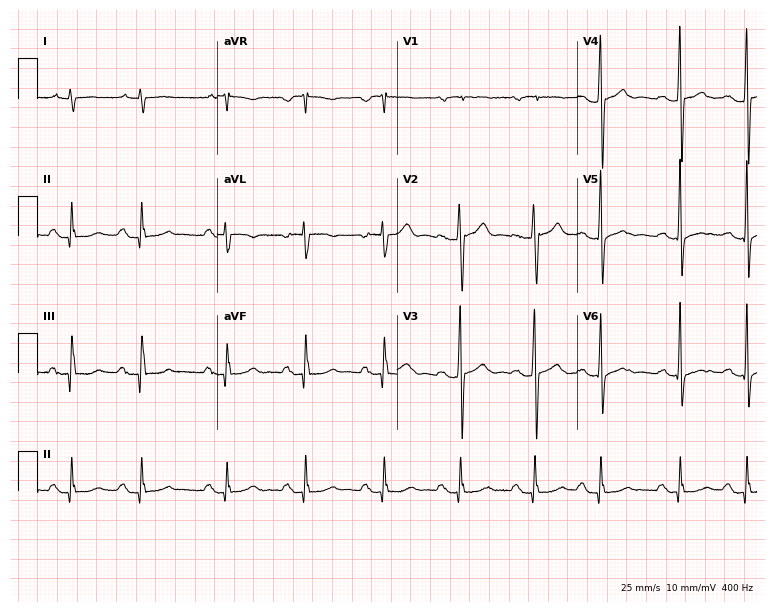
Standard 12-lead ECG recorded from a male, 81 years old. None of these six findings is recorded: first-degree AV block, right bundle branch block, left bundle branch block, sinus bradycardia, atrial fibrillation, sinus tachycardia.